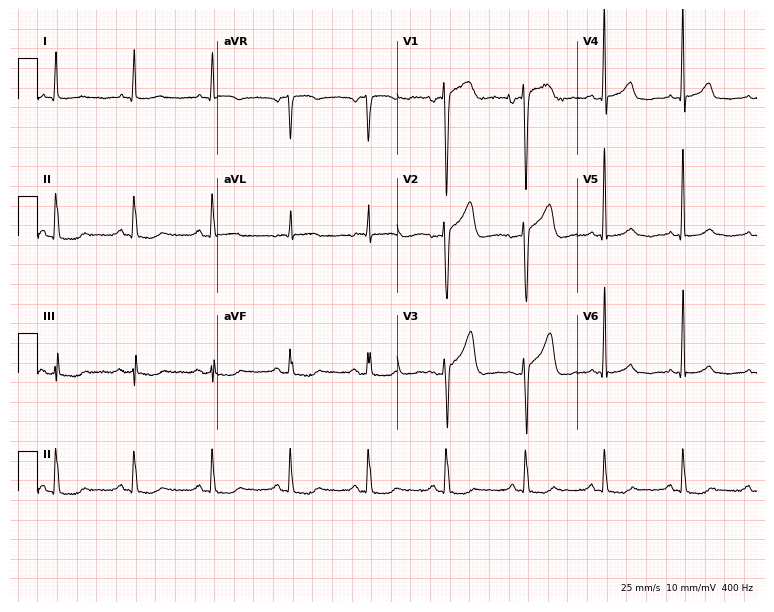
12-lead ECG (7.3-second recording at 400 Hz) from a male patient, 80 years old. Labelled as a normal ECG.